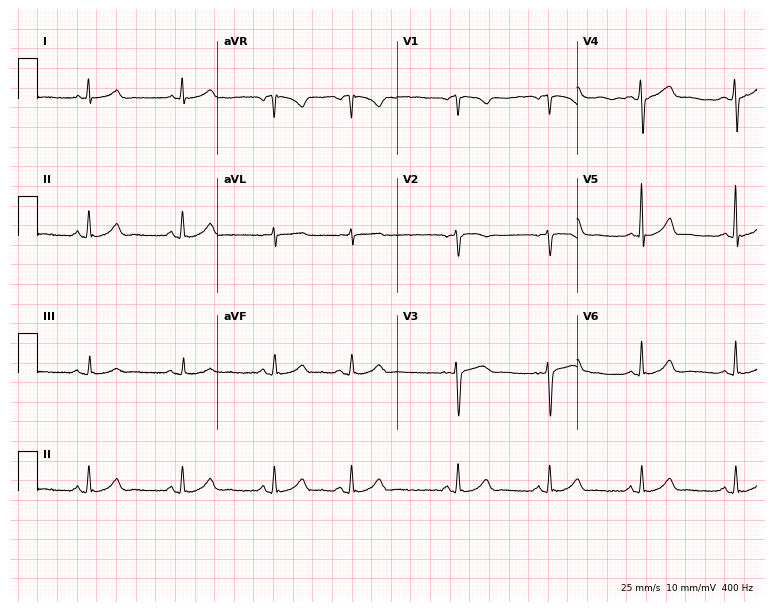
12-lead ECG from a 37-year-old woman (7.3-second recording at 400 Hz). Recorded interpretation: within normal limits.